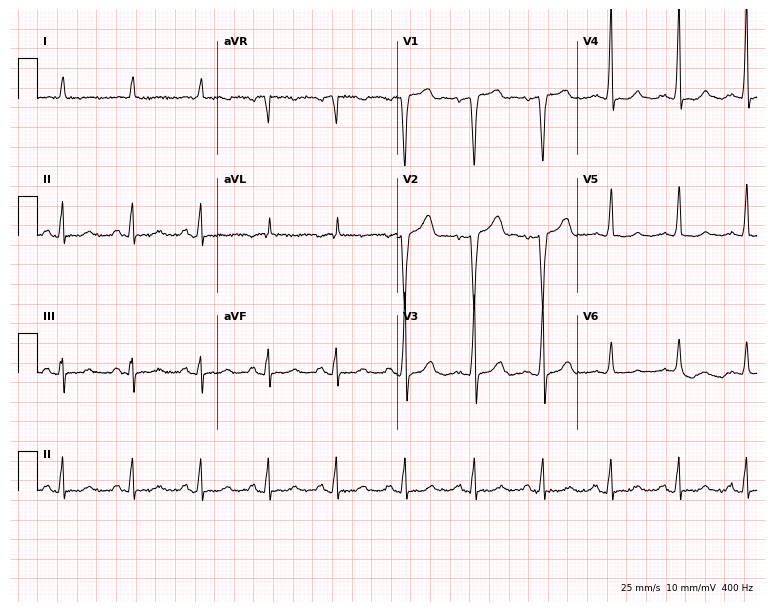
Standard 12-lead ECG recorded from a 75-year-old female. None of these six findings is recorded: first-degree AV block, right bundle branch block, left bundle branch block, sinus bradycardia, atrial fibrillation, sinus tachycardia. Findings outside these six are not listed.